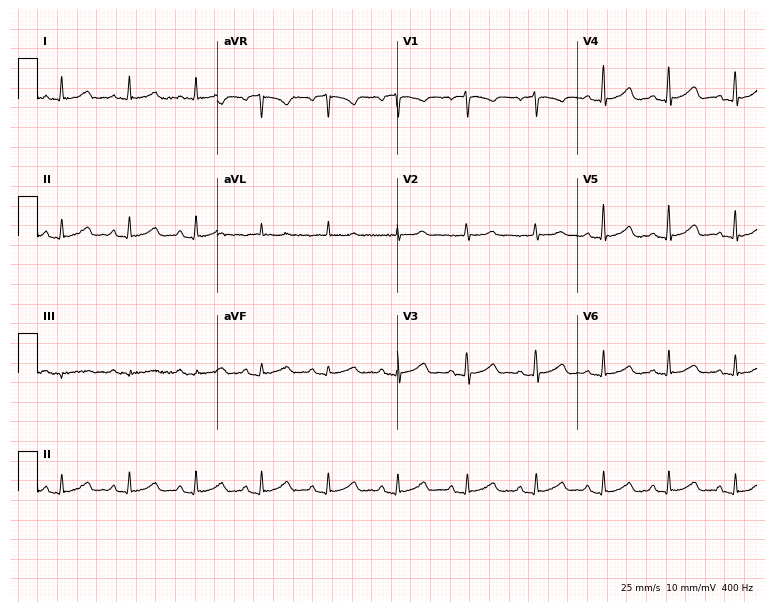
Resting 12-lead electrocardiogram (7.3-second recording at 400 Hz). Patient: a female, 52 years old. Read as a normal ECG.